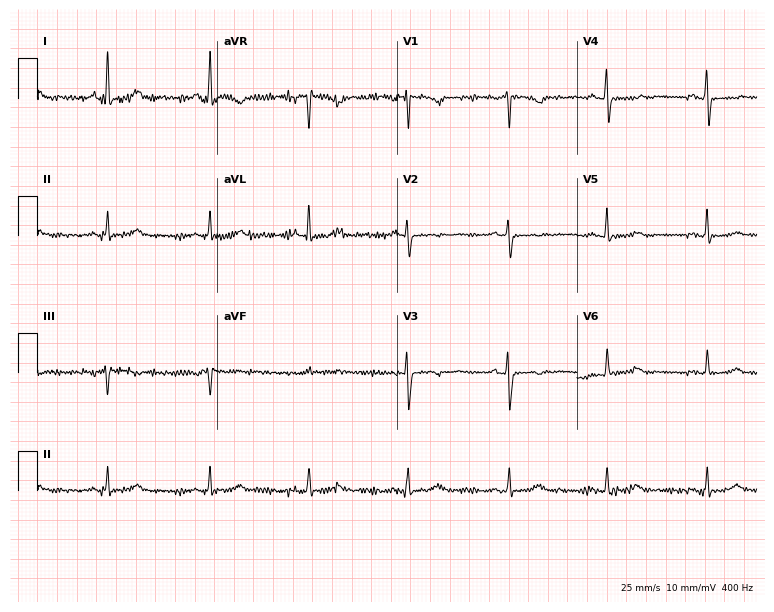
12-lead ECG from a 66-year-old female. Labelled as a normal ECG.